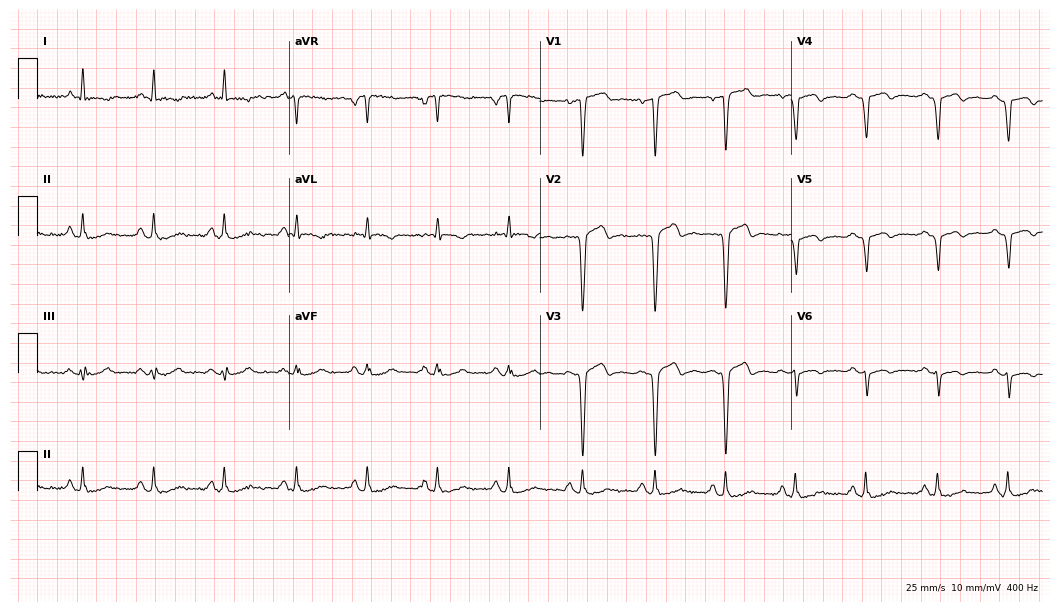
ECG — a 57-year-old man. Screened for six findings — first-degree AV block, right bundle branch block (RBBB), left bundle branch block (LBBB), sinus bradycardia, atrial fibrillation (AF), sinus tachycardia — none is recorded. Other findings, if any, are not listed.